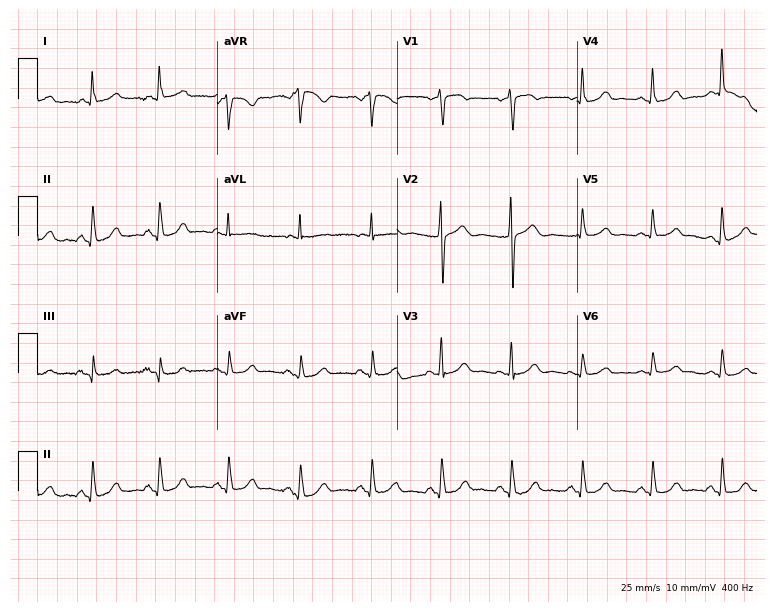
ECG — a woman, 76 years old. Labelled as a normal ECG.